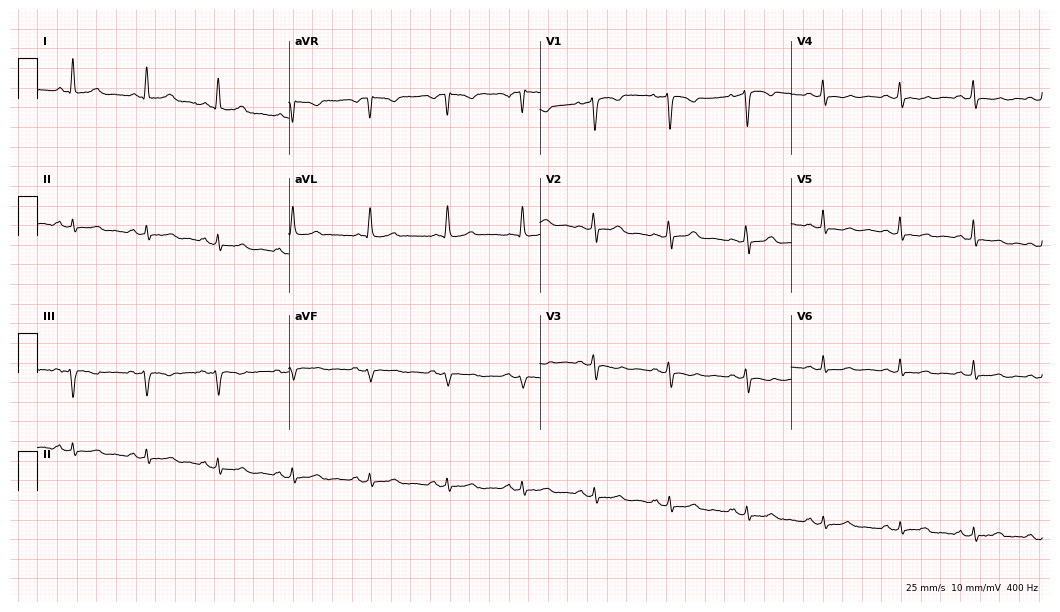
ECG (10.2-second recording at 400 Hz) — a woman, 58 years old. Labelled as a normal ECG.